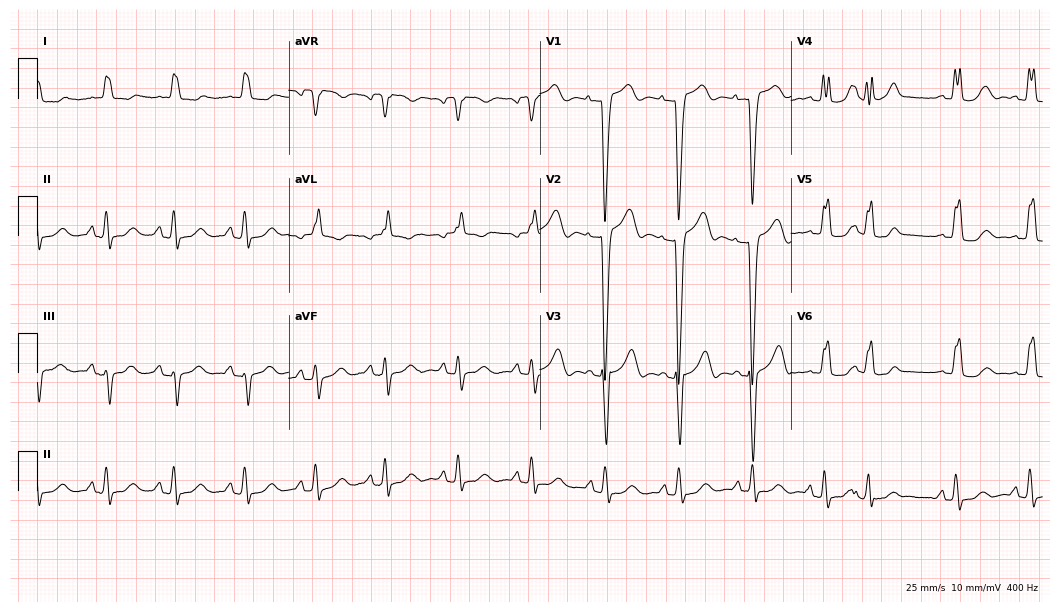
12-lead ECG from an 80-year-old woman. Findings include left bundle branch block.